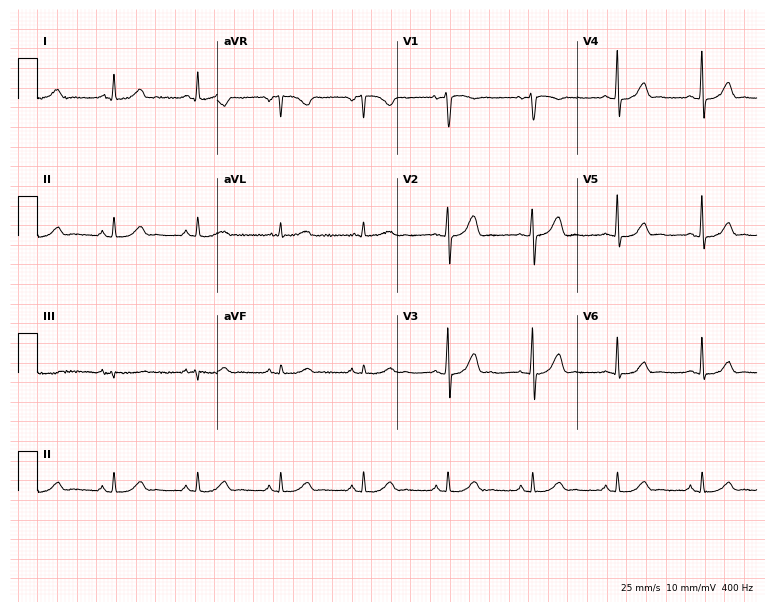
12-lead ECG from a 43-year-old woman. Recorded interpretation: within normal limits.